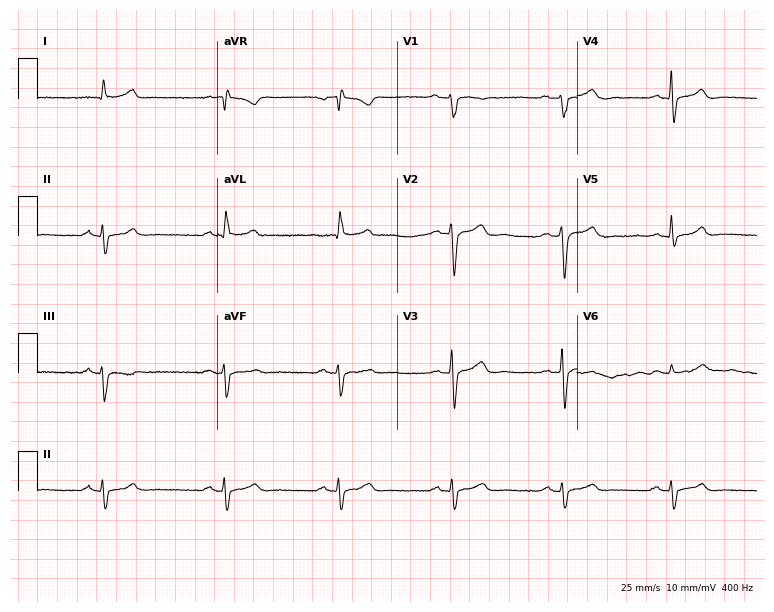
Standard 12-lead ECG recorded from a 53-year-old man (7.3-second recording at 400 Hz). Read as a normal ECG.